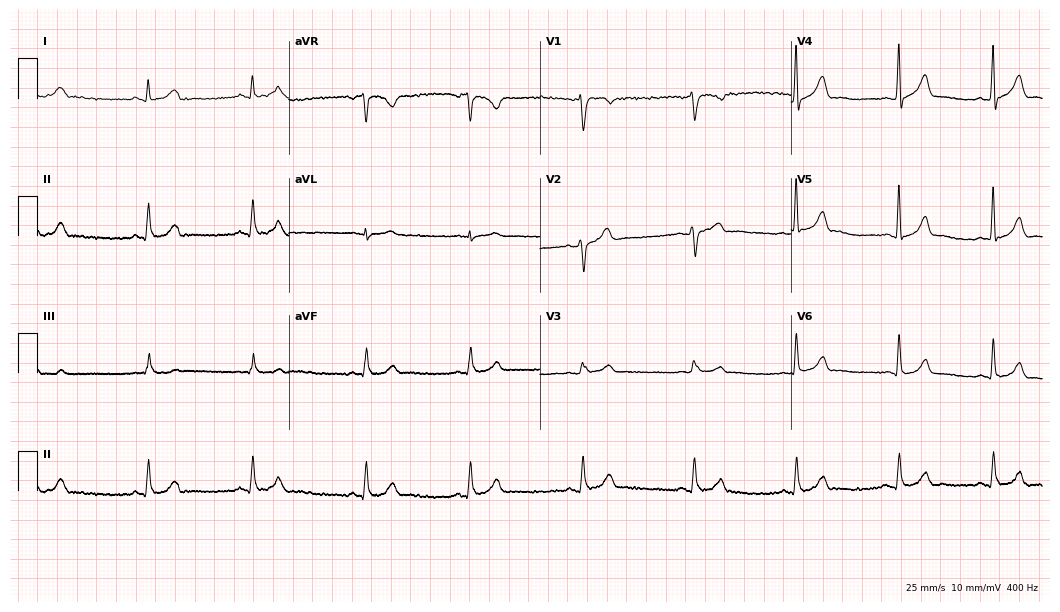
Resting 12-lead electrocardiogram (10.2-second recording at 400 Hz). Patient: a male, 46 years old. Read as a normal ECG.